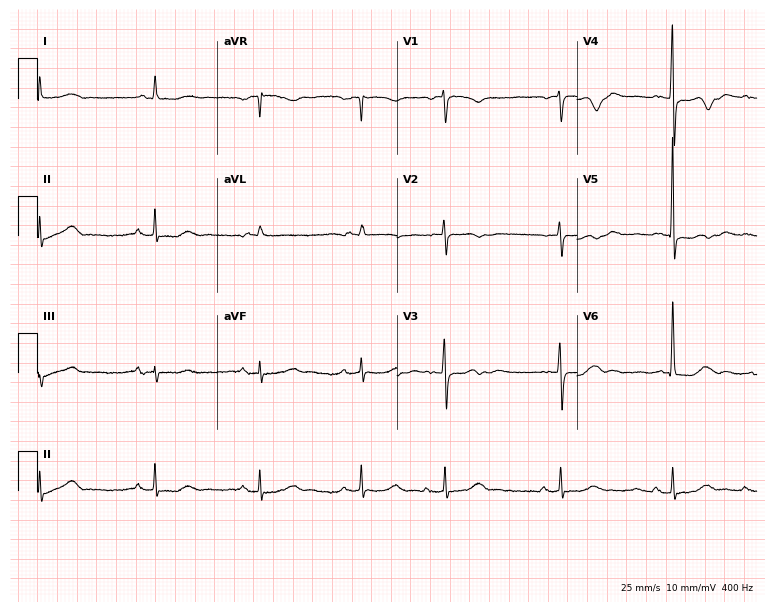
Electrocardiogram (7.3-second recording at 400 Hz), a 71-year-old woman. Of the six screened findings (first-degree AV block, right bundle branch block, left bundle branch block, sinus bradycardia, atrial fibrillation, sinus tachycardia), none is recorded. Findings outside these six are not listed.